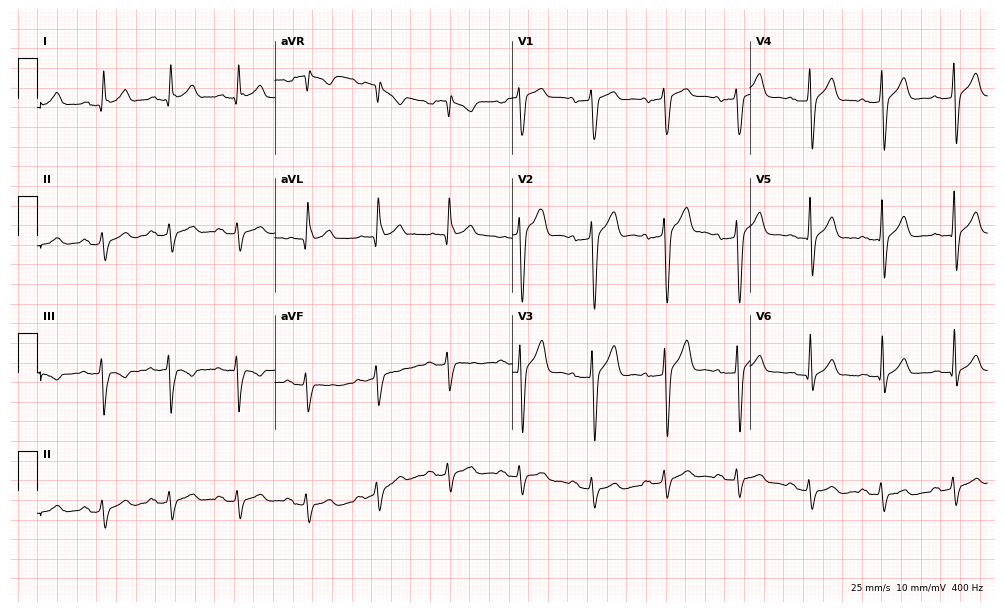
Electrocardiogram (9.7-second recording at 400 Hz), a 59-year-old male patient. Of the six screened findings (first-degree AV block, right bundle branch block (RBBB), left bundle branch block (LBBB), sinus bradycardia, atrial fibrillation (AF), sinus tachycardia), none is recorded. Other findings, if any, are not listed.